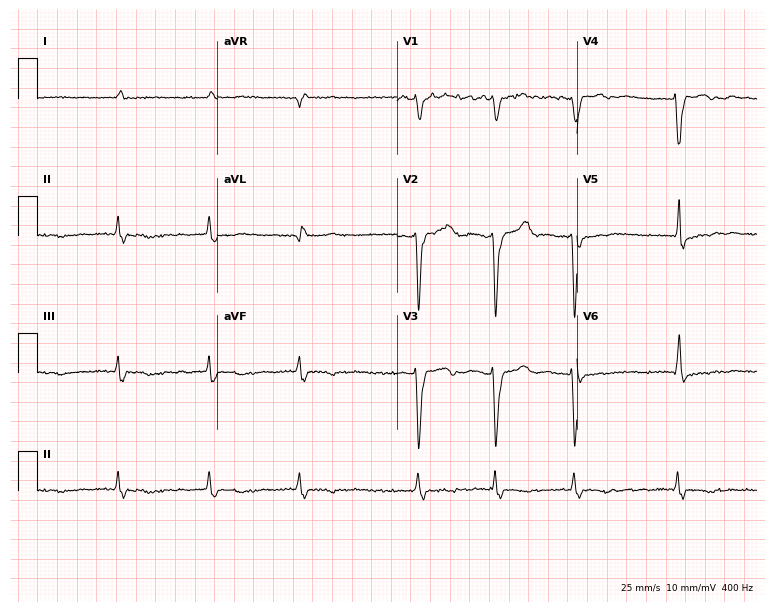
Resting 12-lead electrocardiogram (7.3-second recording at 400 Hz). Patient: a male, 85 years old. The tracing shows left bundle branch block, atrial fibrillation.